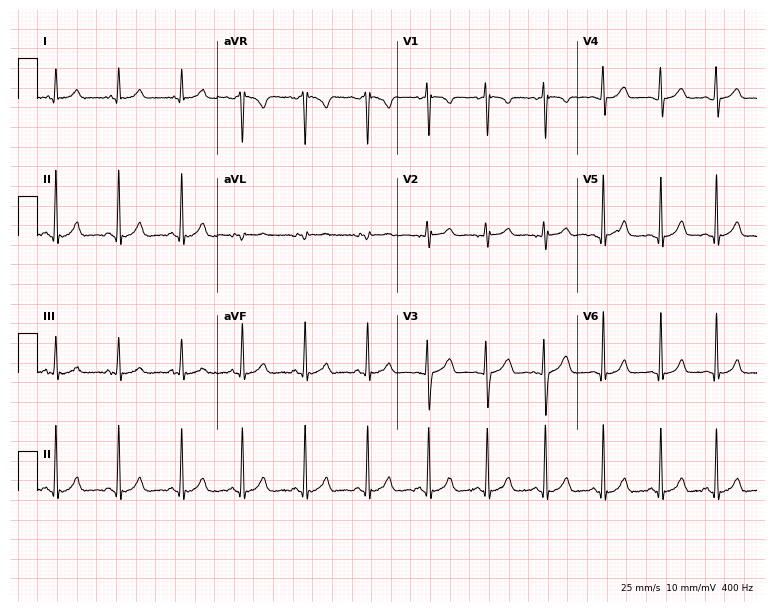
Resting 12-lead electrocardiogram (7.3-second recording at 400 Hz). Patient: a female, 21 years old. Read as a normal ECG.